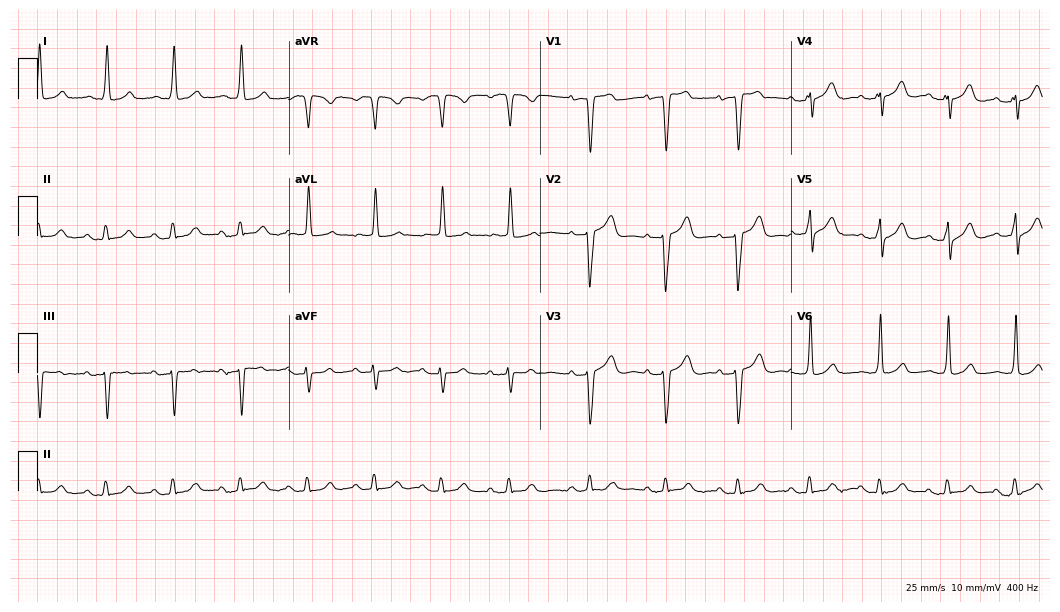
Standard 12-lead ECG recorded from a female patient, 82 years old (10.2-second recording at 400 Hz). Read as a normal ECG.